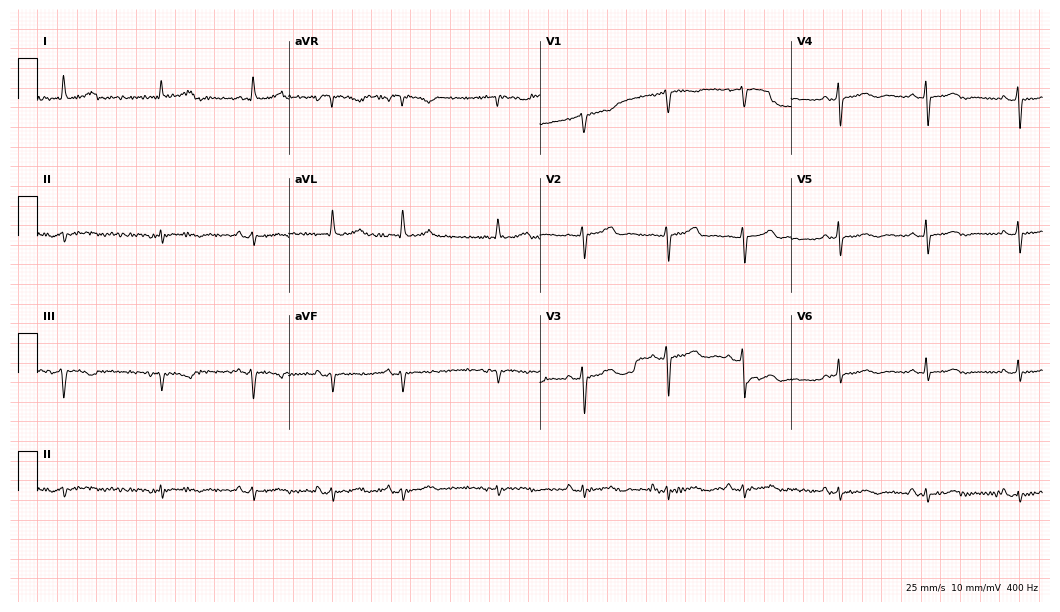
12-lead ECG (10.2-second recording at 400 Hz) from a female patient, 62 years old. Screened for six findings — first-degree AV block, right bundle branch block, left bundle branch block, sinus bradycardia, atrial fibrillation, sinus tachycardia — none is recorded. Findings outside these six are not listed.